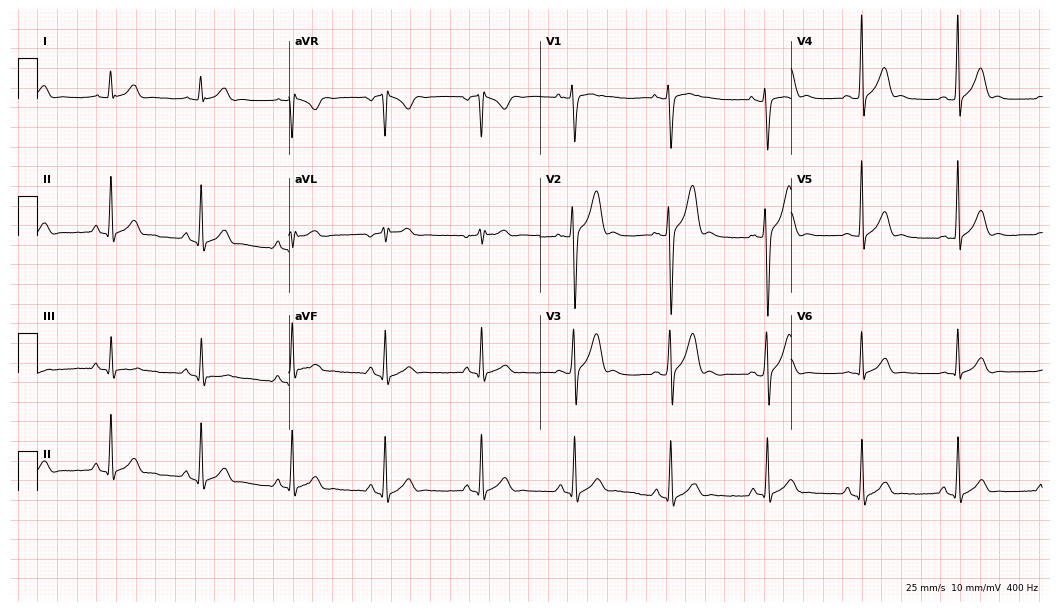
Electrocardiogram, a 19-year-old male. Overall reading on record: normal ECG.